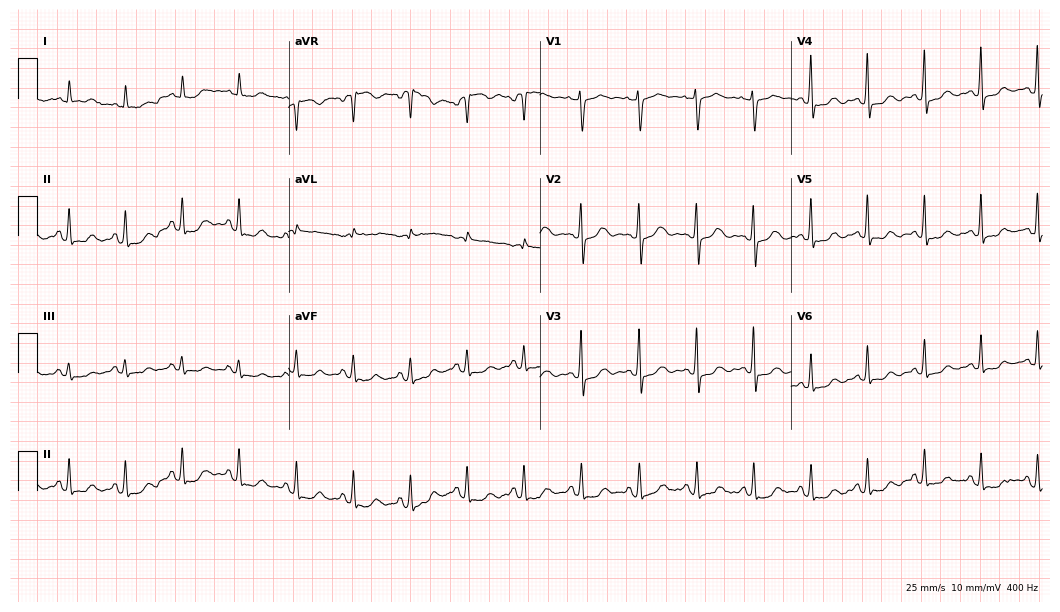
12-lead ECG (10.2-second recording at 400 Hz) from a woman, 65 years old. Findings include sinus tachycardia (a sinus rate of 100 beats per minute or more).